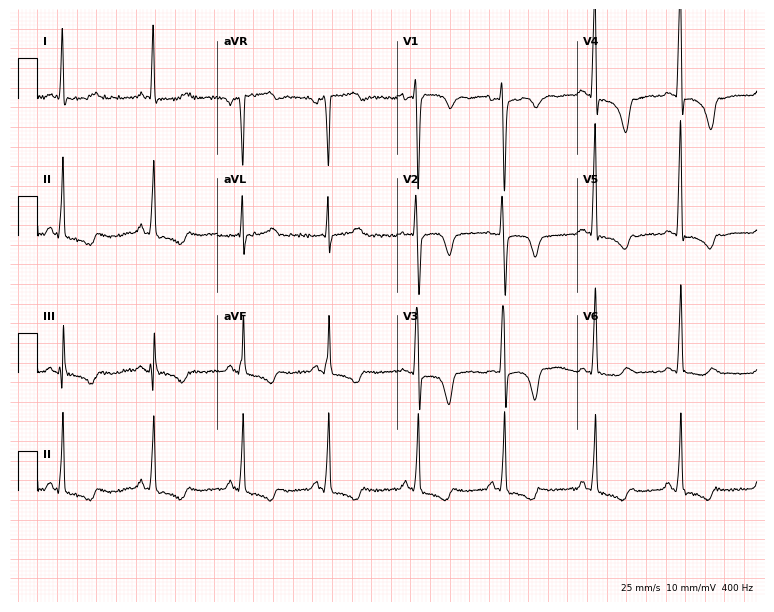
12-lead ECG from a 50-year-old woman. No first-degree AV block, right bundle branch block (RBBB), left bundle branch block (LBBB), sinus bradycardia, atrial fibrillation (AF) or sinus tachycardia recorded for this tracing.